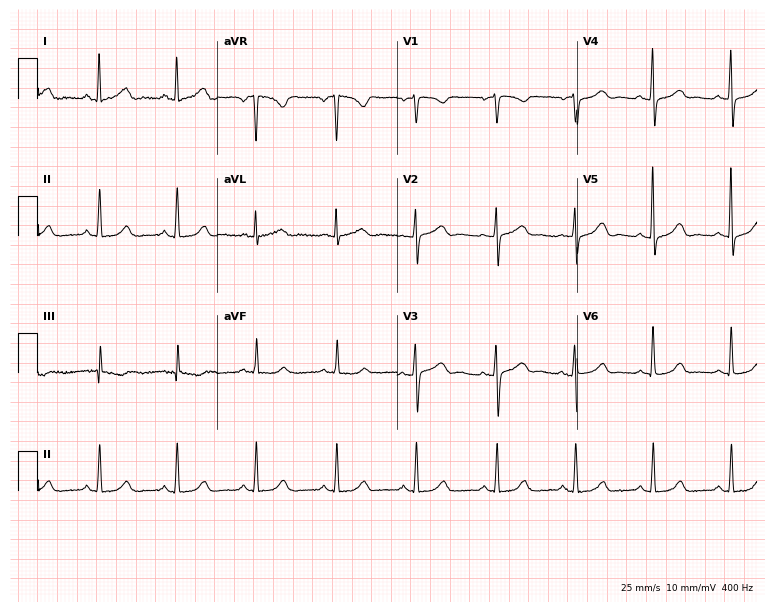
Electrocardiogram, a female patient, 54 years old. Overall reading on record: normal ECG.